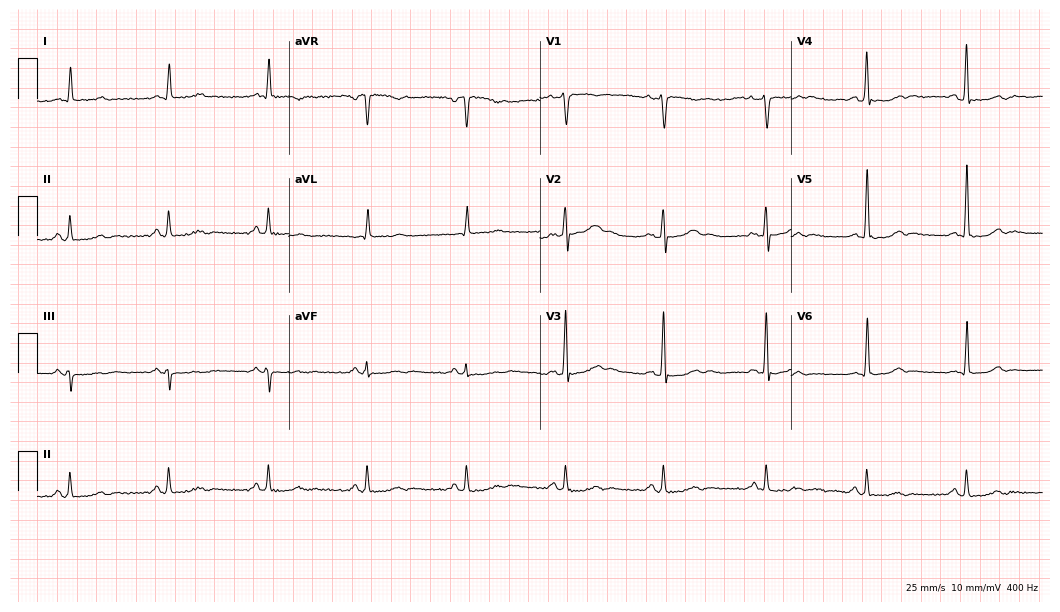
Standard 12-lead ECG recorded from a male patient, 62 years old (10.2-second recording at 400 Hz). Read as a normal ECG.